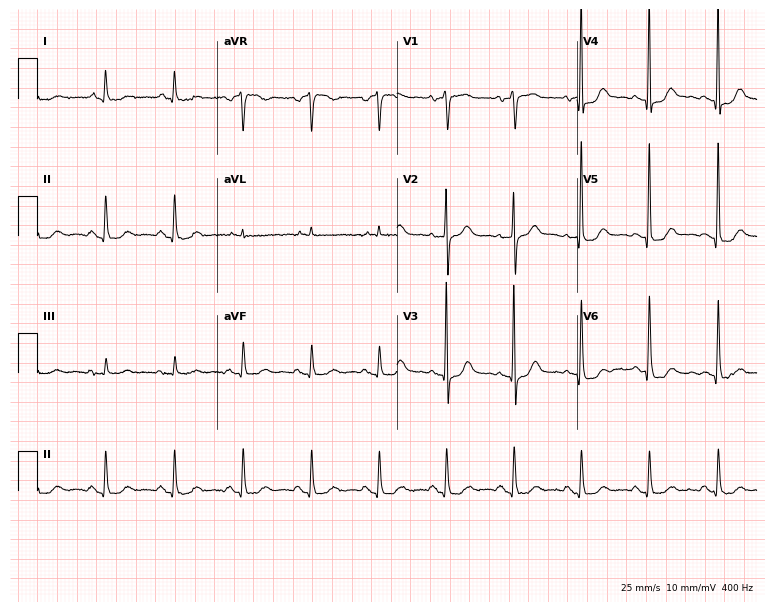
Electrocardiogram, a male, 80 years old. Of the six screened findings (first-degree AV block, right bundle branch block (RBBB), left bundle branch block (LBBB), sinus bradycardia, atrial fibrillation (AF), sinus tachycardia), none is recorded. Only these six findings were labelled.